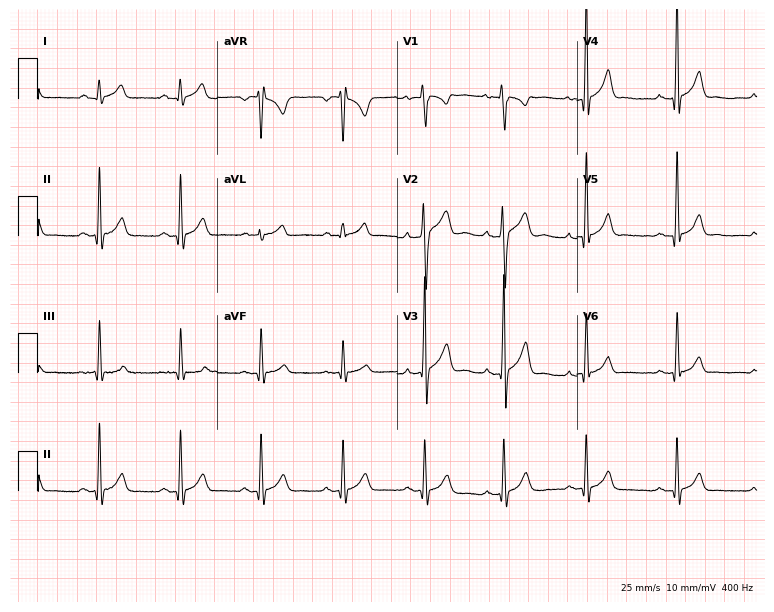
Resting 12-lead electrocardiogram. Patient: a male, 19 years old. Read as a normal ECG.